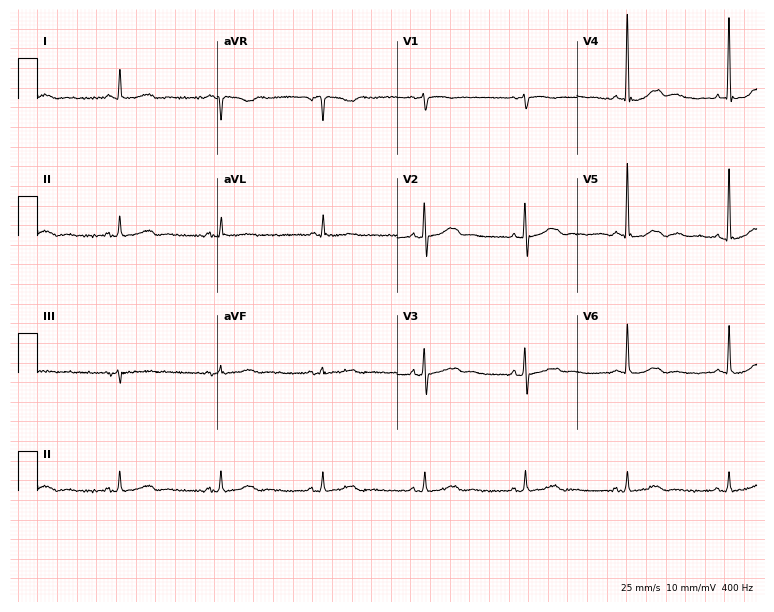
Electrocardiogram (7.3-second recording at 400 Hz), an 83-year-old female patient. Overall reading on record: normal ECG.